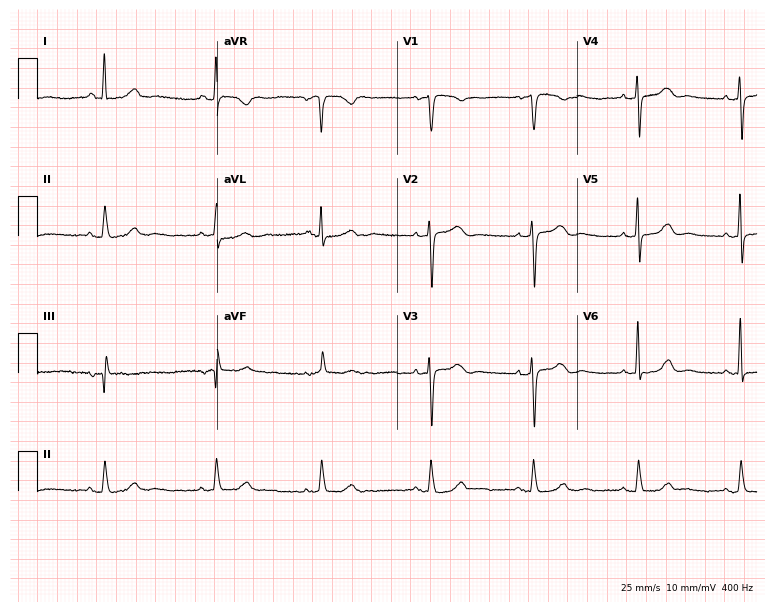
Resting 12-lead electrocardiogram (7.3-second recording at 400 Hz). Patient: a 47-year-old woman. Read as a normal ECG.